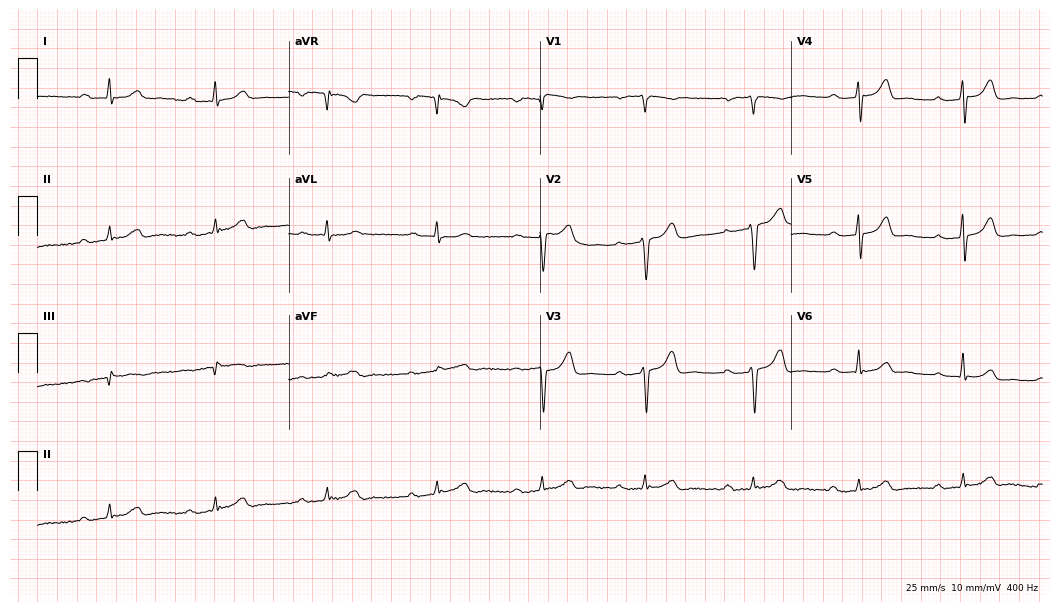
Standard 12-lead ECG recorded from a 55-year-old female patient (10.2-second recording at 400 Hz). The tracing shows first-degree AV block.